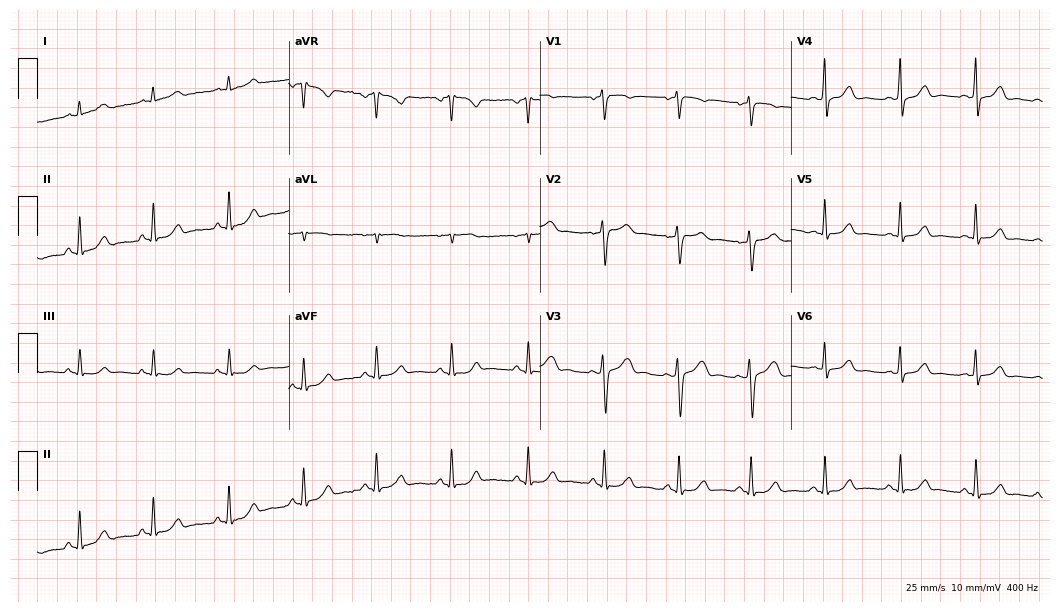
ECG (10.2-second recording at 400 Hz) — a woman, 42 years old. Labelled as a normal ECG.